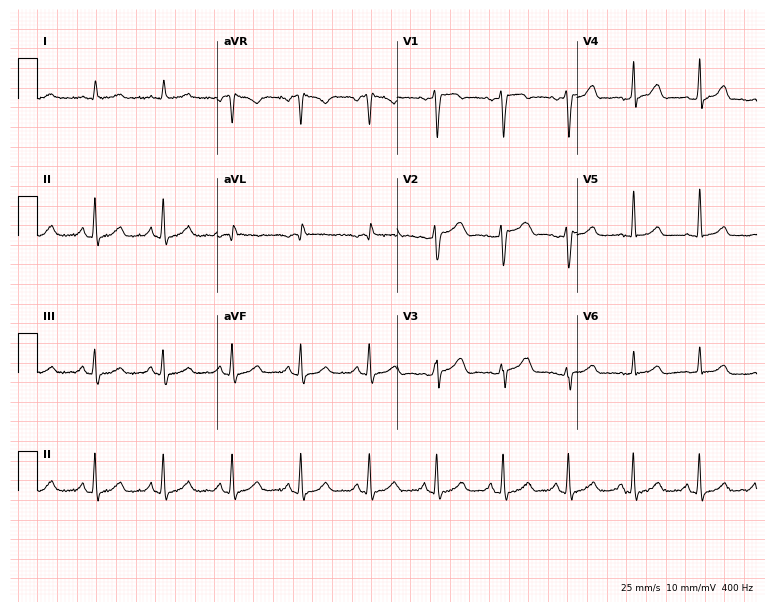
Electrocardiogram, a man, 52 years old. Overall reading on record: normal ECG.